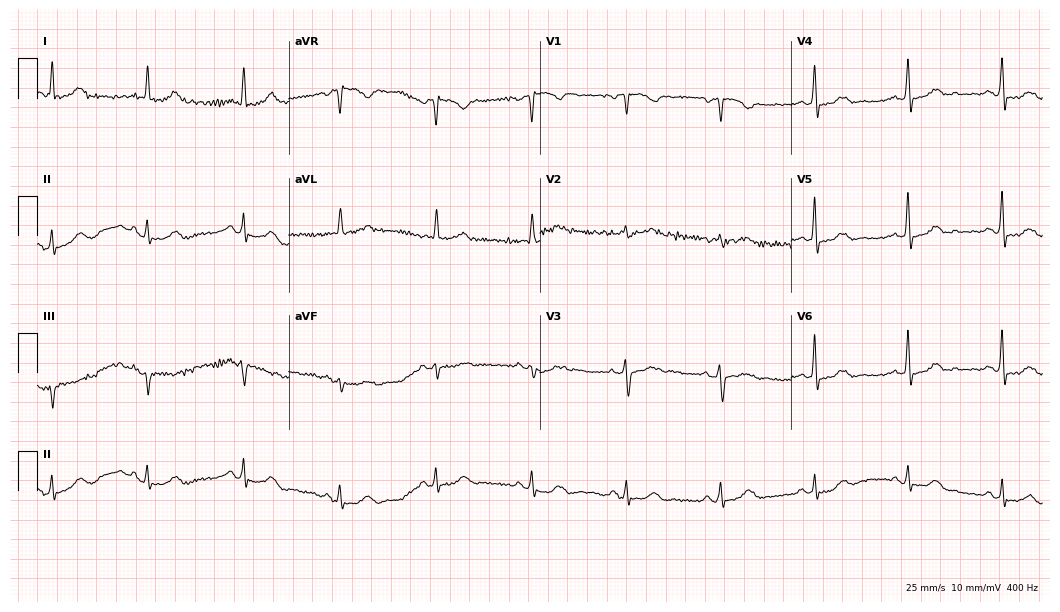
ECG — a 68-year-old woman. Labelled as a normal ECG.